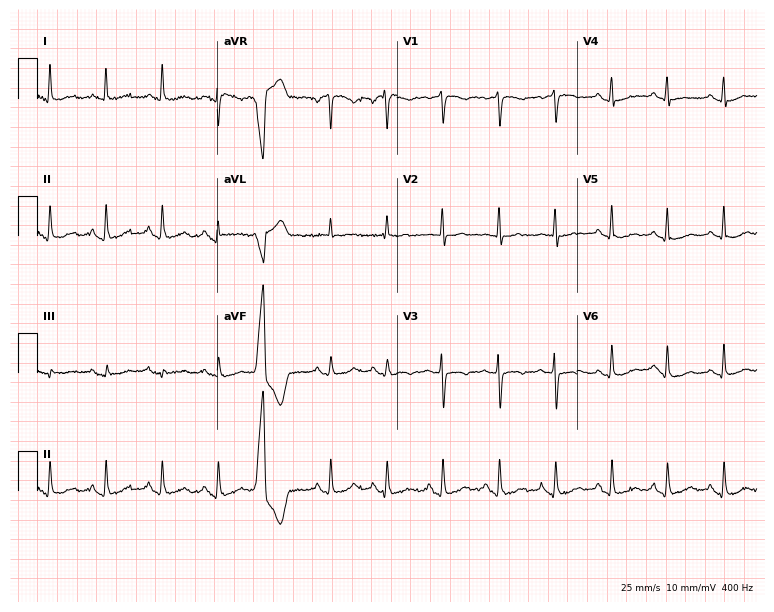
Standard 12-lead ECG recorded from a 74-year-old female (7.3-second recording at 400 Hz). The tracing shows sinus tachycardia (a sinus rate of 100 beats per minute or more).